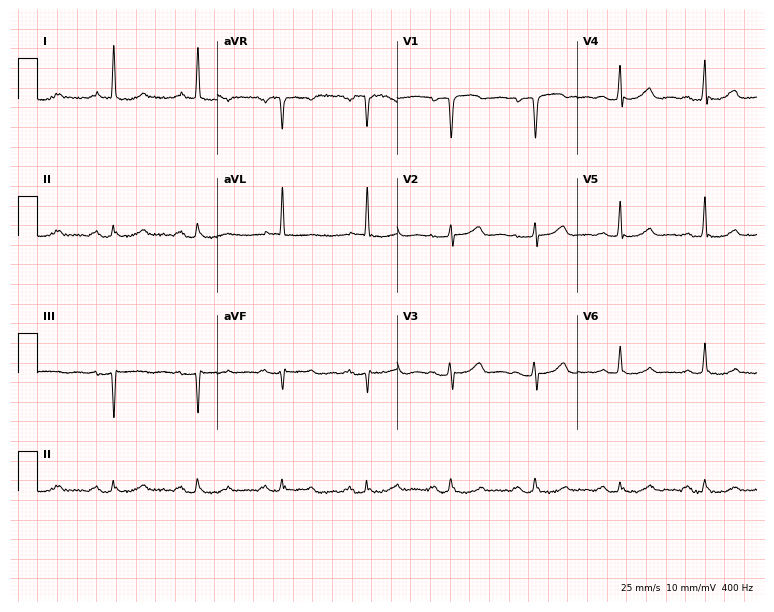
Standard 12-lead ECG recorded from a 70-year-old woman. The tracing shows first-degree AV block.